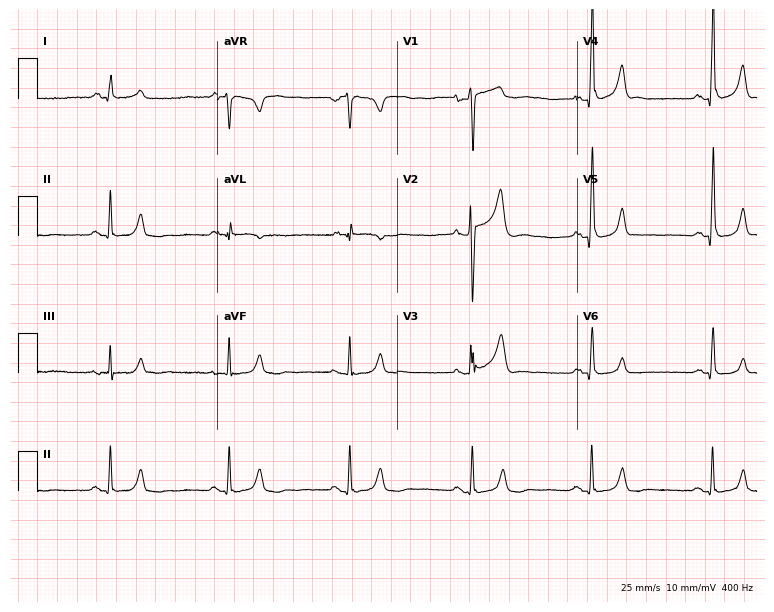
Standard 12-lead ECG recorded from a 46-year-old male patient (7.3-second recording at 400 Hz). The tracing shows sinus bradycardia (a sinus rate of 50 beats per minute or less).